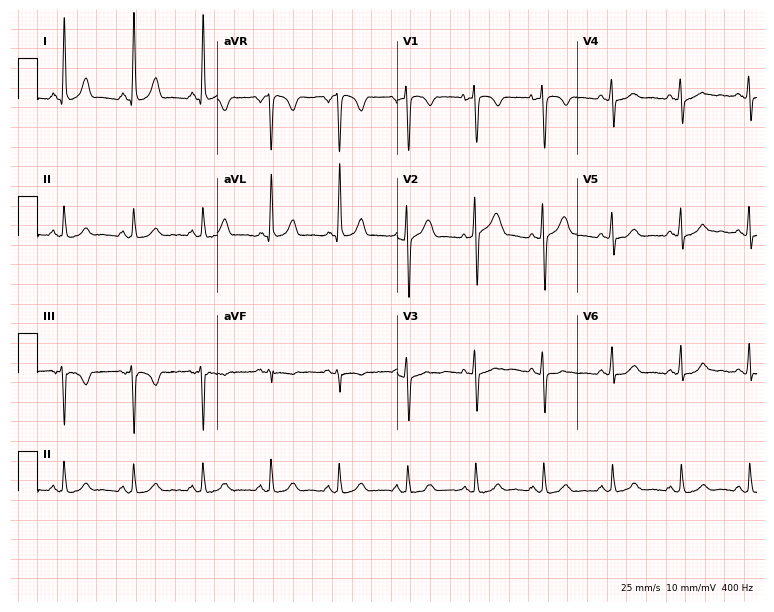
ECG (7.3-second recording at 400 Hz) — a woman, 31 years old. Labelled as a normal ECG.